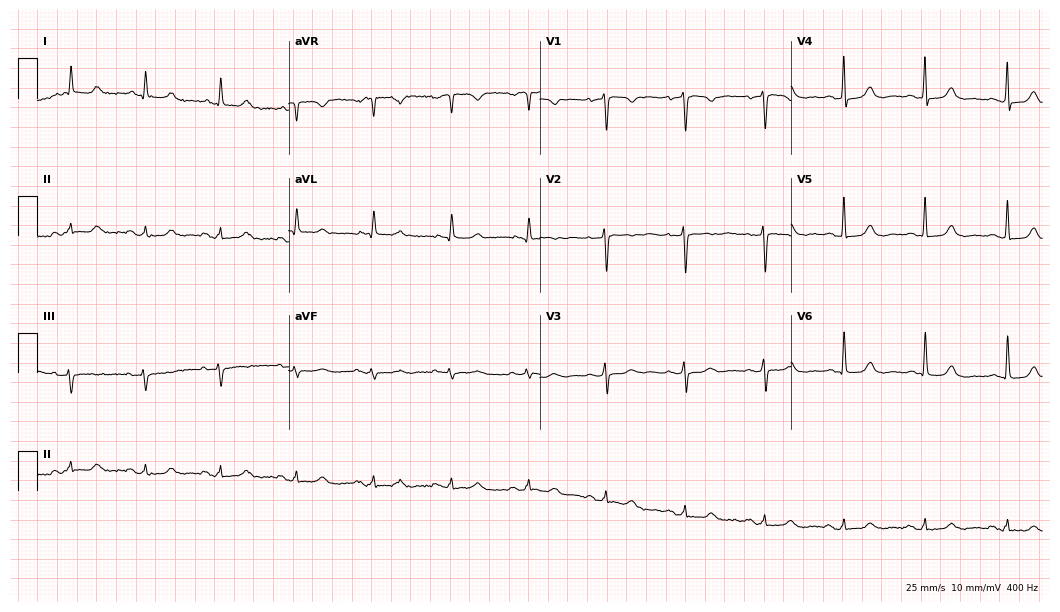
Electrocardiogram (10.2-second recording at 400 Hz), a woman, 80 years old. Of the six screened findings (first-degree AV block, right bundle branch block, left bundle branch block, sinus bradycardia, atrial fibrillation, sinus tachycardia), none is recorded. Findings outside these six are not listed.